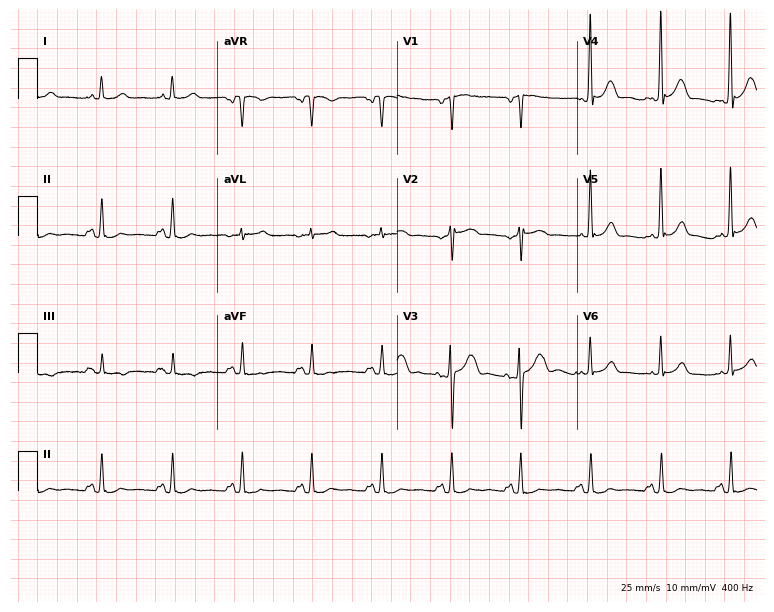
Resting 12-lead electrocardiogram (7.3-second recording at 400 Hz). Patient: a 49-year-old male. None of these six findings is recorded: first-degree AV block, right bundle branch block, left bundle branch block, sinus bradycardia, atrial fibrillation, sinus tachycardia. Other findings, if any, are not listed.